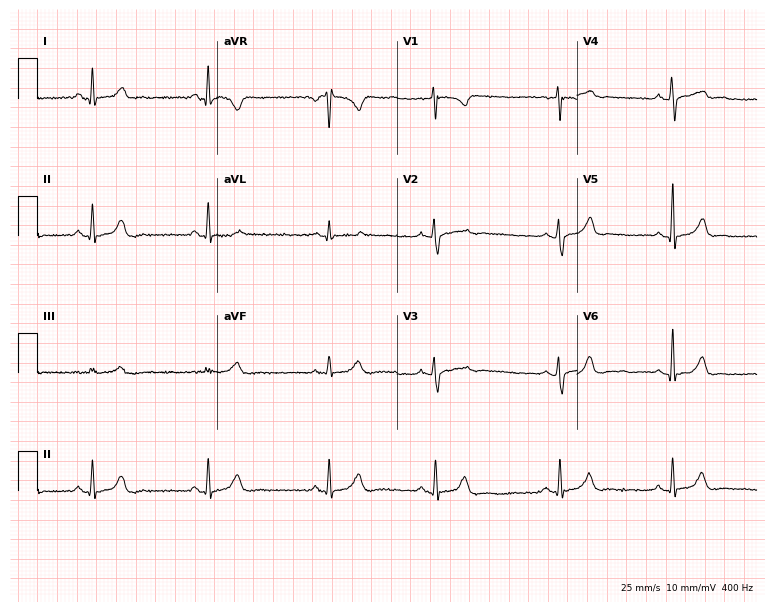
12-lead ECG from a woman, 31 years old (7.3-second recording at 400 Hz). Recorded interpretation: within normal limits.